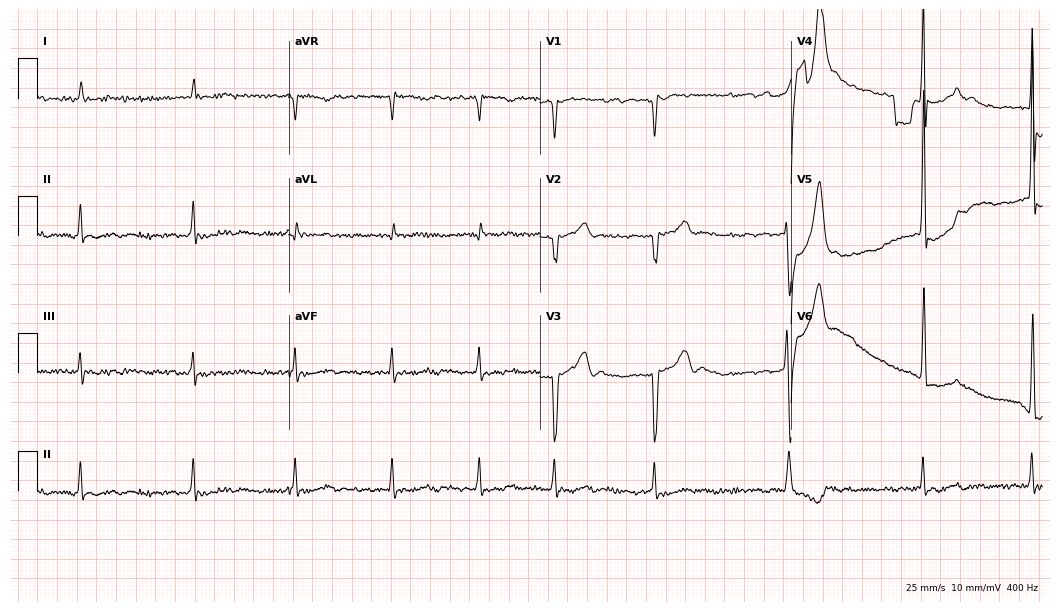
Standard 12-lead ECG recorded from a 77-year-old male patient. The tracing shows atrial fibrillation (AF).